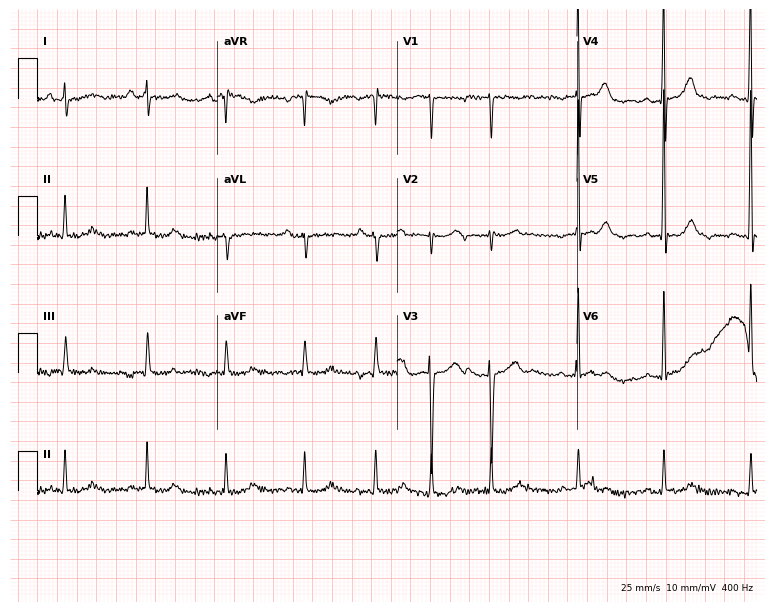
Resting 12-lead electrocardiogram (7.3-second recording at 400 Hz). Patient: a woman, 63 years old. None of these six findings is recorded: first-degree AV block, right bundle branch block (RBBB), left bundle branch block (LBBB), sinus bradycardia, atrial fibrillation (AF), sinus tachycardia.